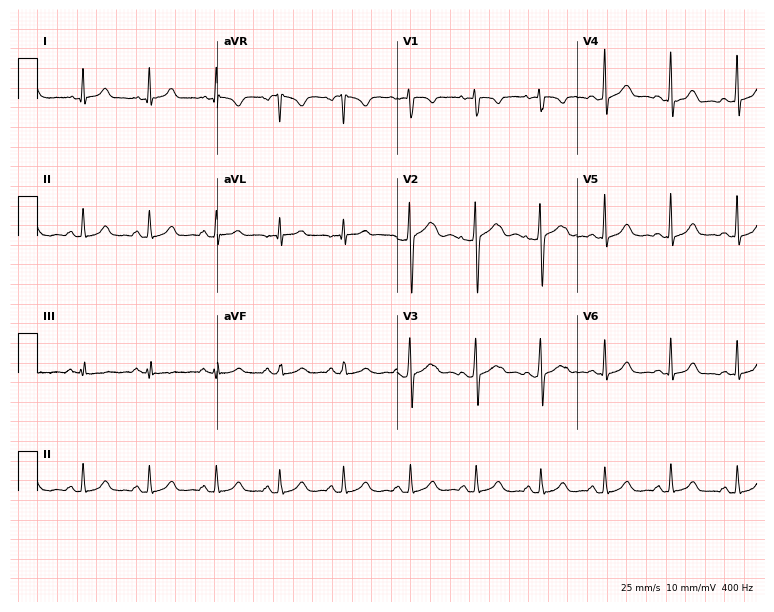
Resting 12-lead electrocardiogram (7.3-second recording at 400 Hz). Patient: a 29-year-old female. None of these six findings is recorded: first-degree AV block, right bundle branch block, left bundle branch block, sinus bradycardia, atrial fibrillation, sinus tachycardia.